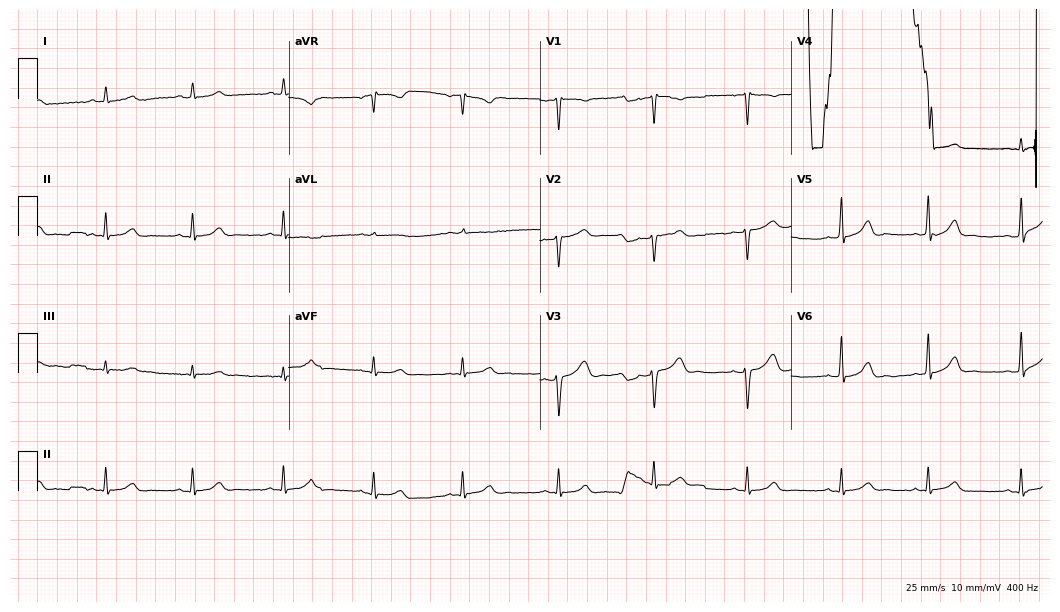
Electrocardiogram (10.2-second recording at 400 Hz), a 24-year-old woman. Of the six screened findings (first-degree AV block, right bundle branch block, left bundle branch block, sinus bradycardia, atrial fibrillation, sinus tachycardia), none is recorded.